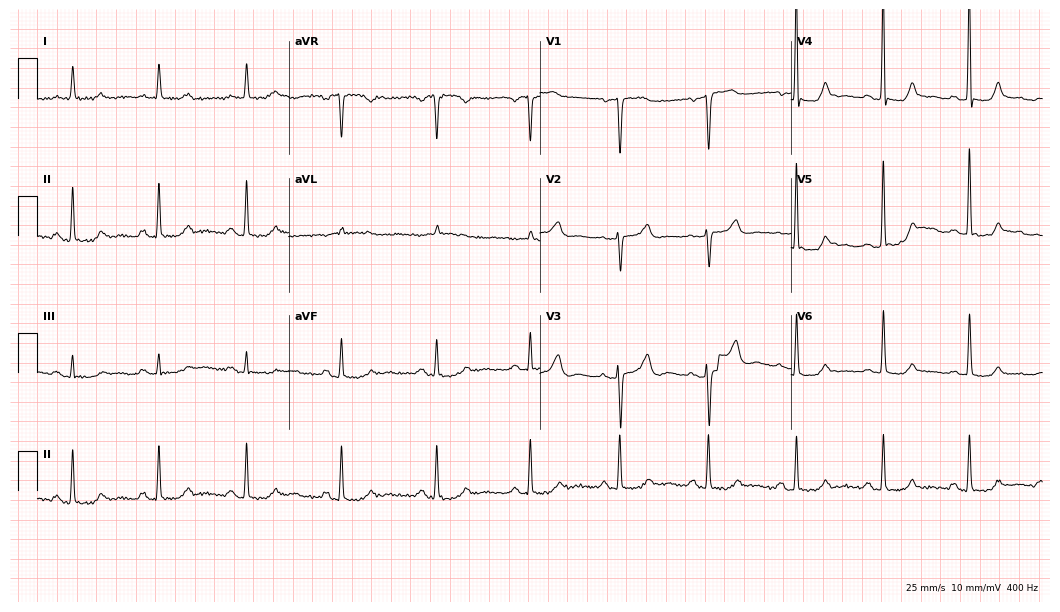
ECG — a female patient, 73 years old. Screened for six findings — first-degree AV block, right bundle branch block (RBBB), left bundle branch block (LBBB), sinus bradycardia, atrial fibrillation (AF), sinus tachycardia — none is recorded. Other findings, if any, are not listed.